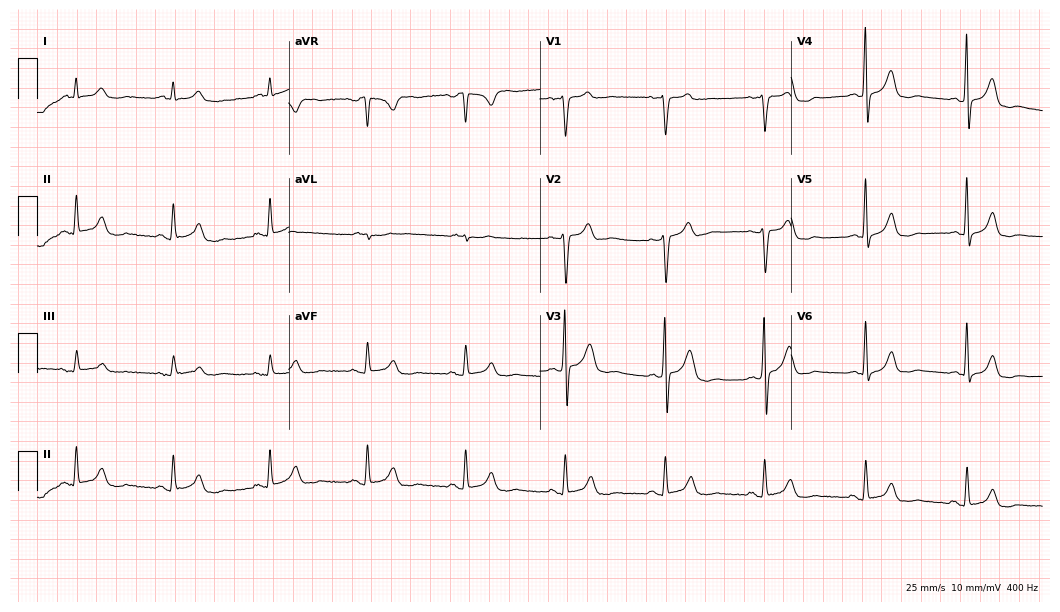
Resting 12-lead electrocardiogram (10.2-second recording at 400 Hz). Patient: a male, 41 years old. Read as a normal ECG.